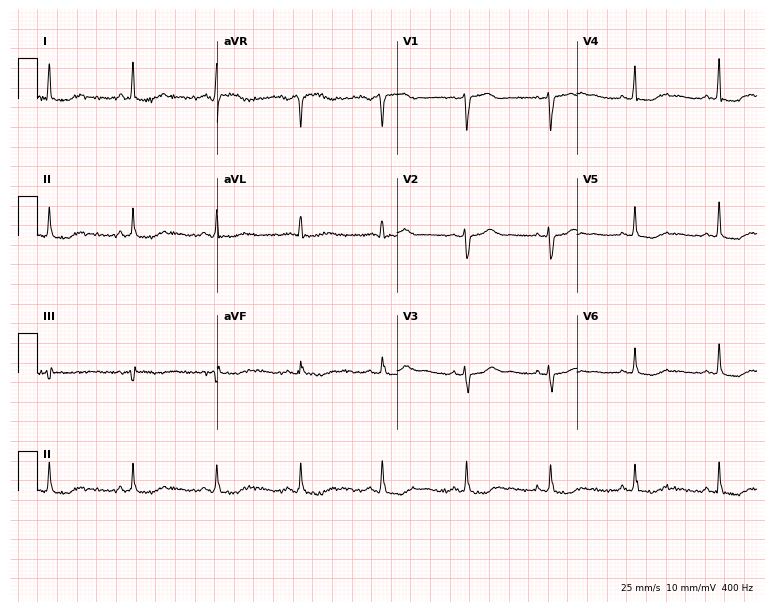
12-lead ECG from a woman, 81 years old. Screened for six findings — first-degree AV block, right bundle branch block, left bundle branch block, sinus bradycardia, atrial fibrillation, sinus tachycardia — none is recorded.